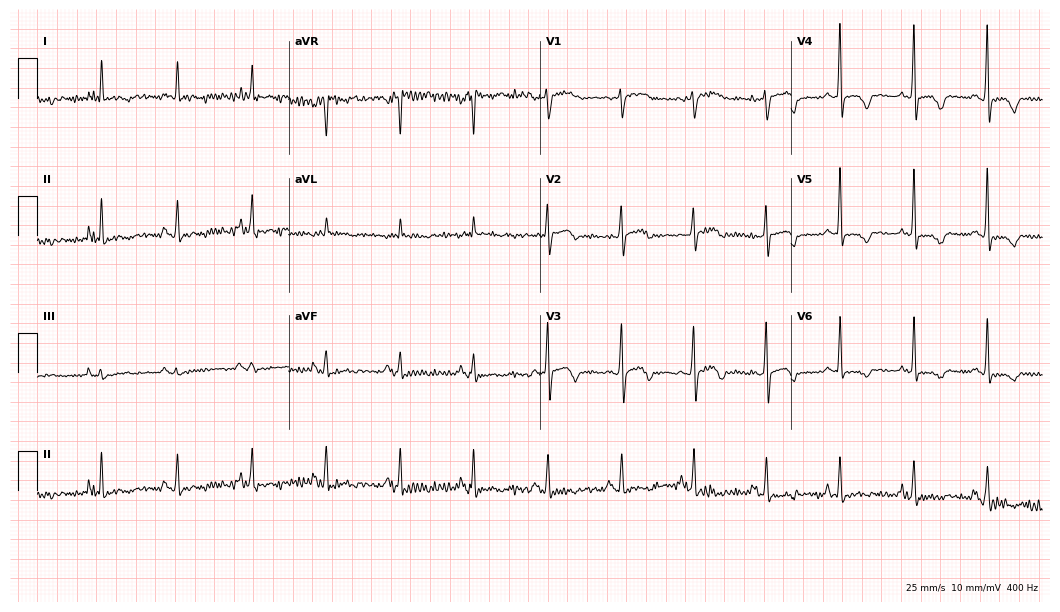
Resting 12-lead electrocardiogram (10.2-second recording at 400 Hz). Patient: a woman, 74 years old. None of these six findings is recorded: first-degree AV block, right bundle branch block, left bundle branch block, sinus bradycardia, atrial fibrillation, sinus tachycardia.